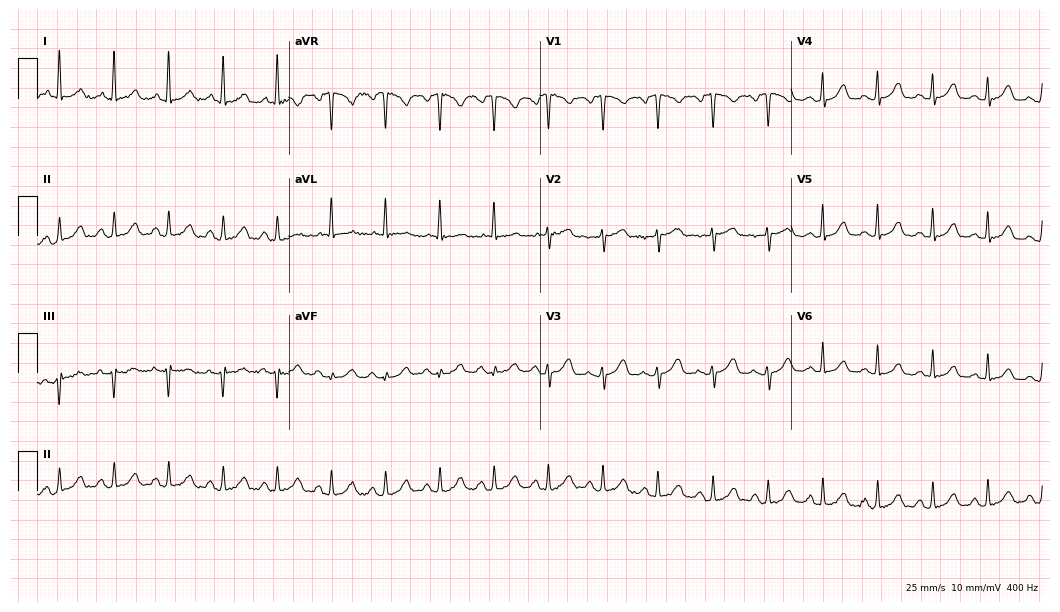
Standard 12-lead ECG recorded from an 82-year-old female patient. None of these six findings is recorded: first-degree AV block, right bundle branch block (RBBB), left bundle branch block (LBBB), sinus bradycardia, atrial fibrillation (AF), sinus tachycardia.